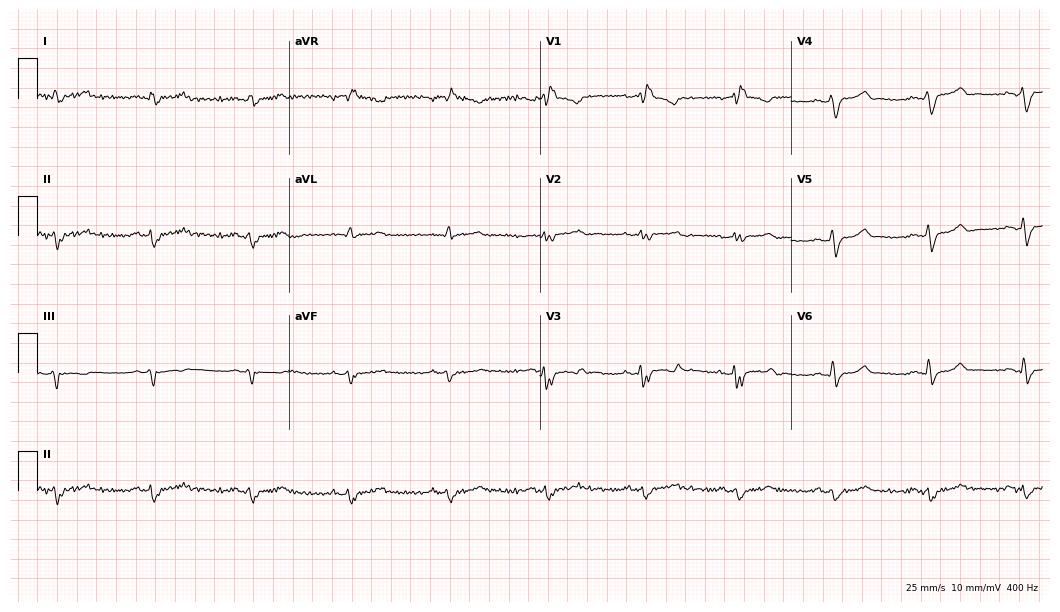
Standard 12-lead ECG recorded from a male patient, 53 years old. None of these six findings is recorded: first-degree AV block, right bundle branch block, left bundle branch block, sinus bradycardia, atrial fibrillation, sinus tachycardia. Only these six findings were labelled.